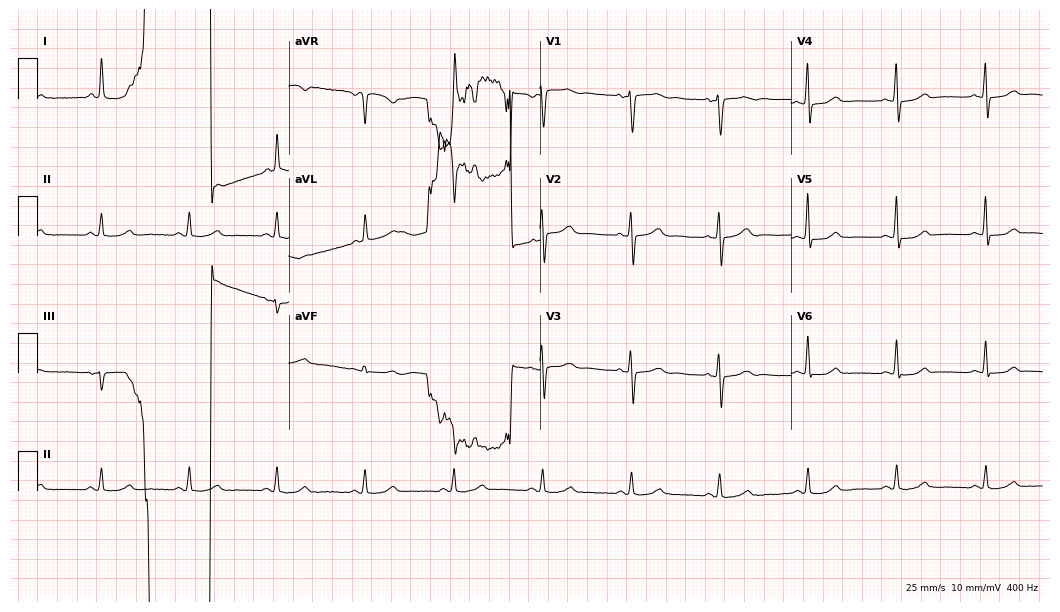
12-lead ECG (10.2-second recording at 400 Hz) from a male patient, 18 years old. Screened for six findings — first-degree AV block, right bundle branch block, left bundle branch block, sinus bradycardia, atrial fibrillation, sinus tachycardia — none is recorded. Only these six findings were labelled.